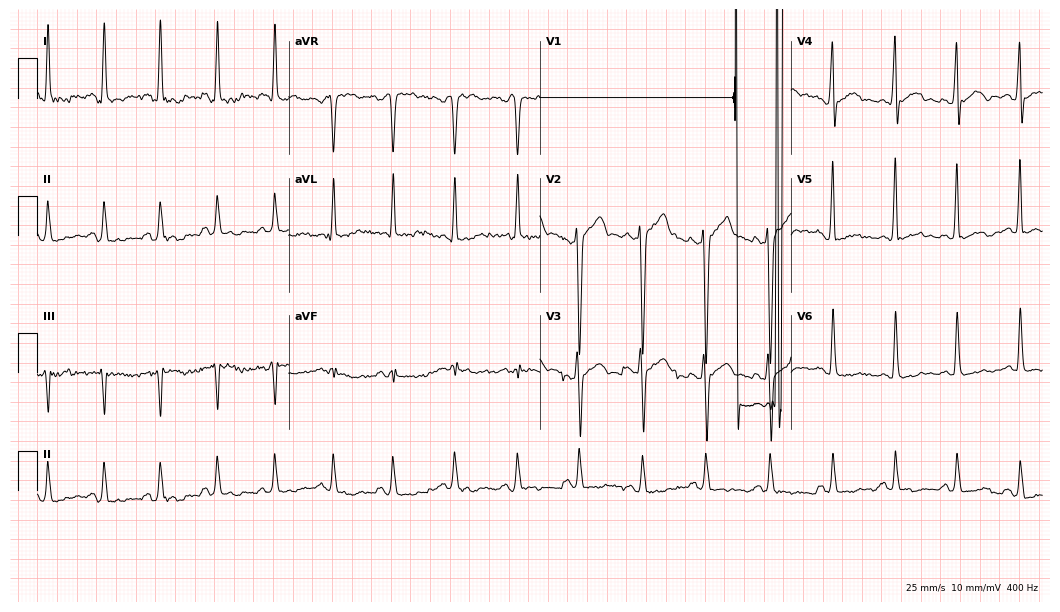
Electrocardiogram (10.2-second recording at 400 Hz), a man, 41 years old. Of the six screened findings (first-degree AV block, right bundle branch block, left bundle branch block, sinus bradycardia, atrial fibrillation, sinus tachycardia), none is recorded. Other findings, if any, are not listed.